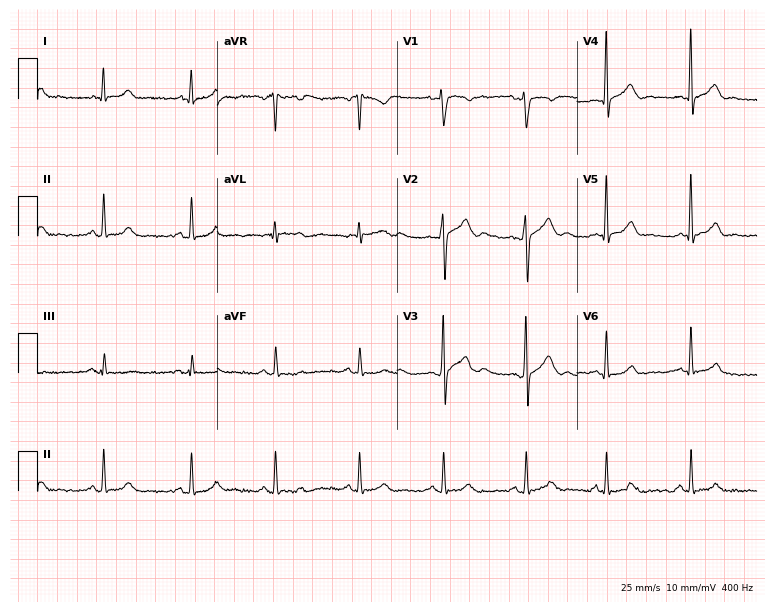
Standard 12-lead ECG recorded from a male, 29 years old (7.3-second recording at 400 Hz). Read as a normal ECG.